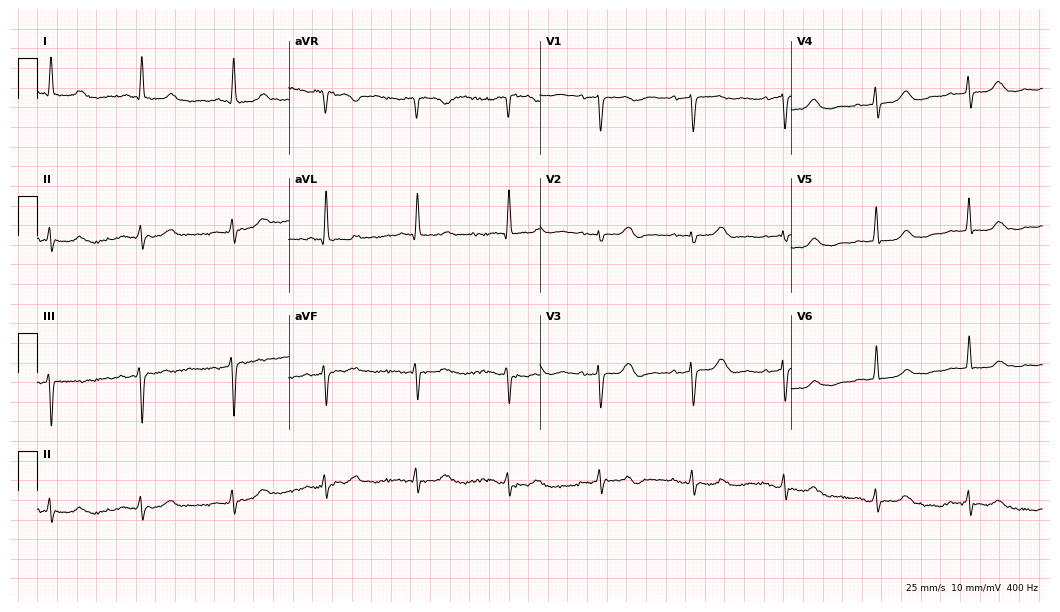
Standard 12-lead ECG recorded from an 82-year-old female patient. Read as a normal ECG.